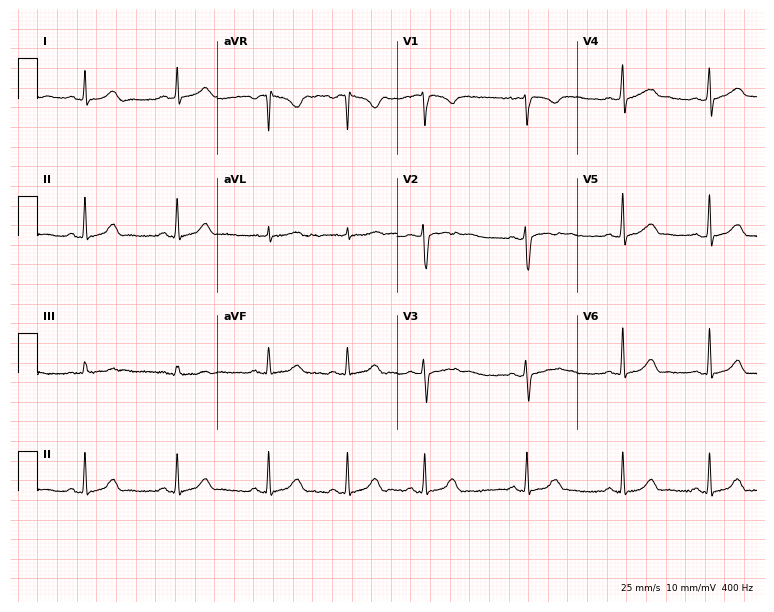
Standard 12-lead ECG recorded from a 24-year-old female patient (7.3-second recording at 400 Hz). Read as a normal ECG.